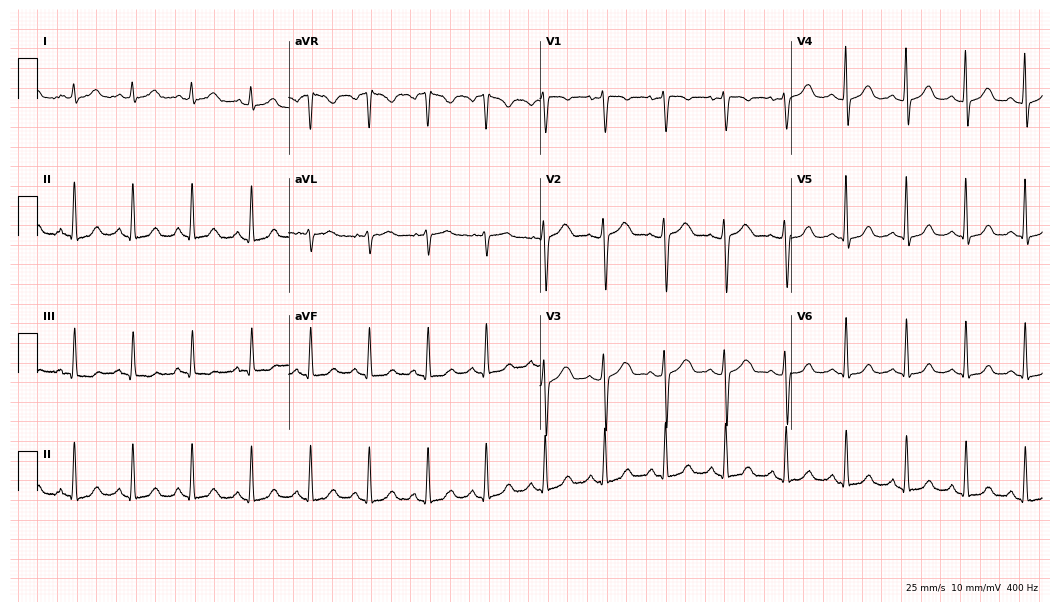
12-lead ECG from a 54-year-old female patient. Labelled as a normal ECG.